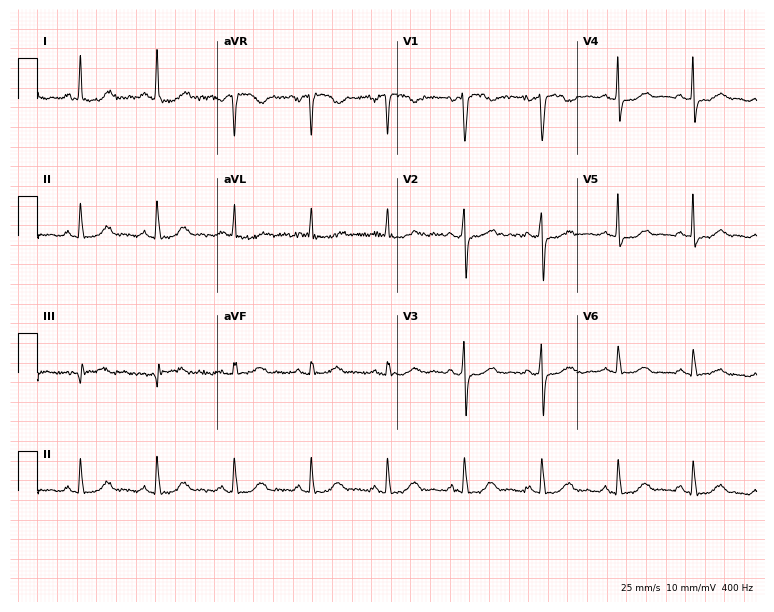
12-lead ECG from a 64-year-old female patient (7.3-second recording at 400 Hz). Recorded interpretation: within normal limits.